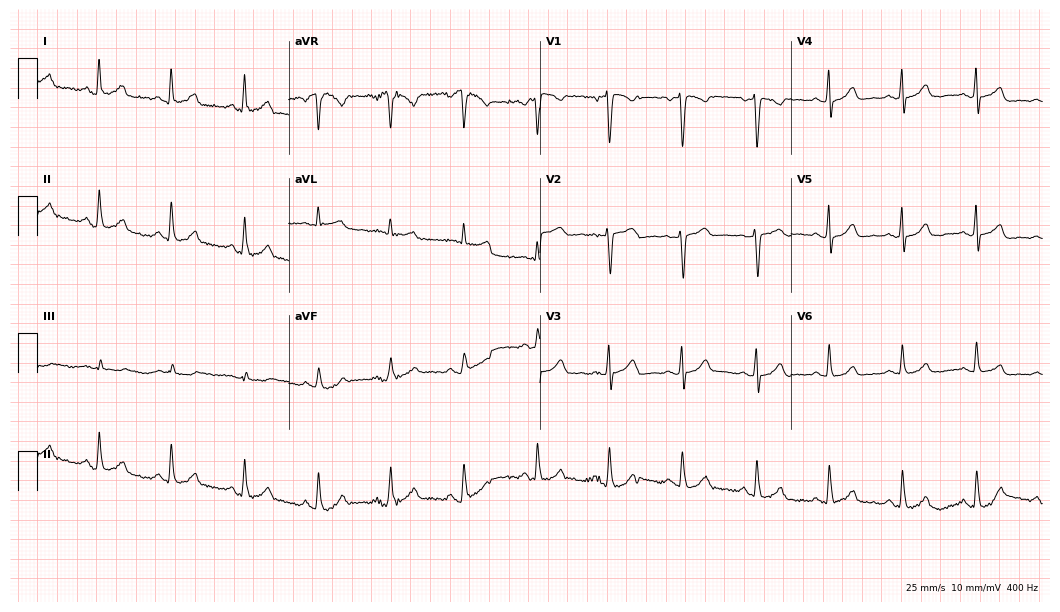
Electrocardiogram, a 37-year-old woman. Overall reading on record: normal ECG.